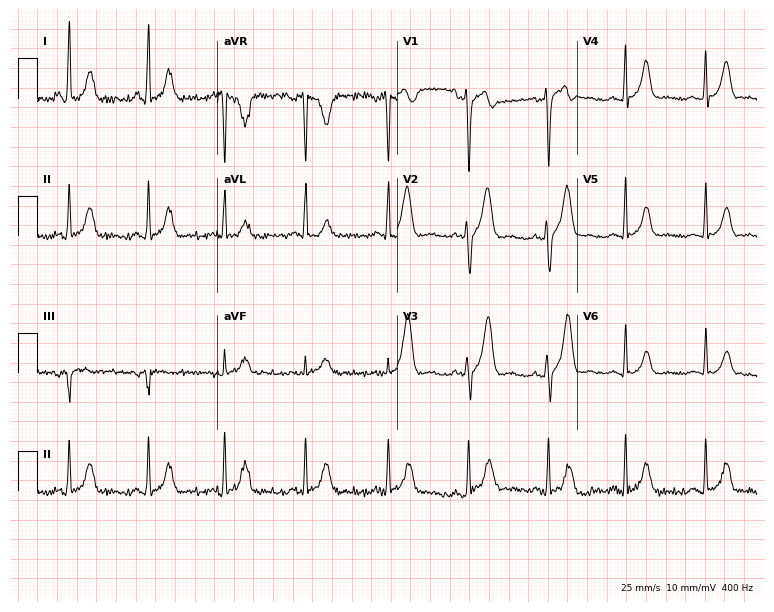
ECG (7.3-second recording at 400 Hz) — a female, 45 years old. Screened for six findings — first-degree AV block, right bundle branch block, left bundle branch block, sinus bradycardia, atrial fibrillation, sinus tachycardia — none is recorded.